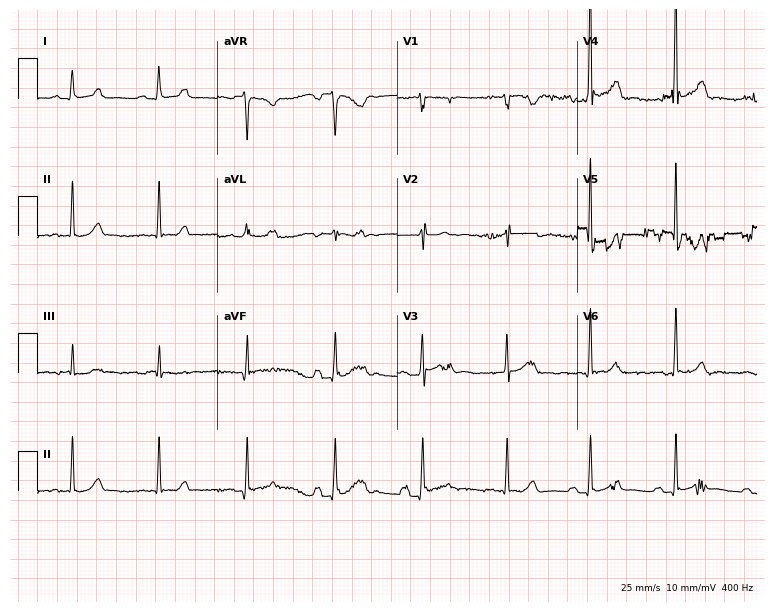
Electrocardiogram, a male patient, 43 years old. Overall reading on record: normal ECG.